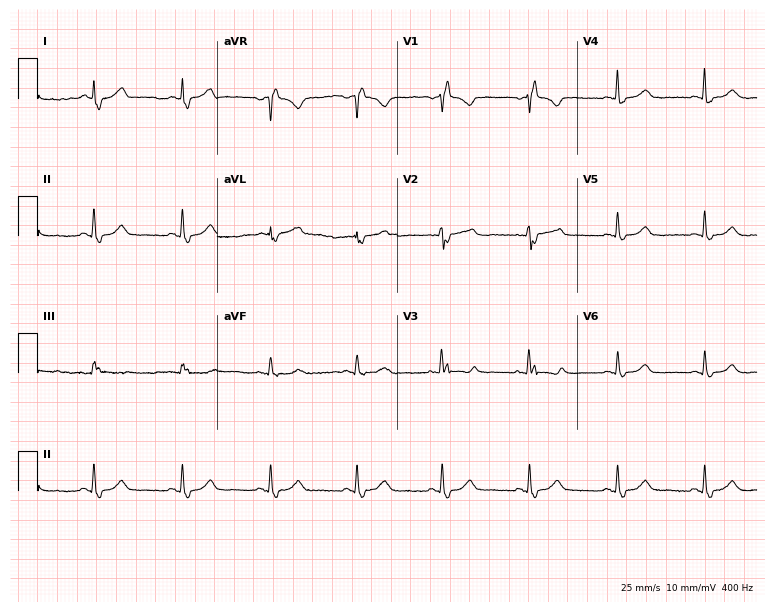
ECG (7.3-second recording at 400 Hz) — a woman, 69 years old. Findings include right bundle branch block (RBBB).